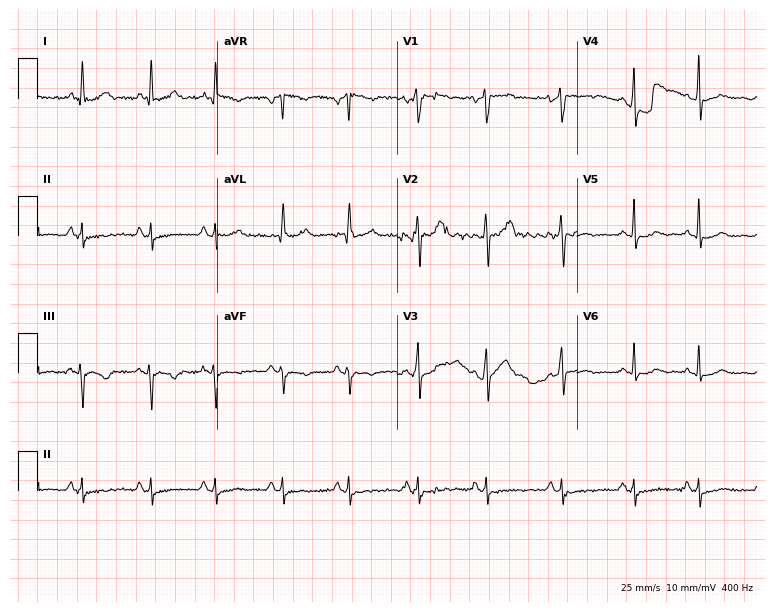
12-lead ECG (7.3-second recording at 400 Hz) from a male patient, 48 years old. Screened for six findings — first-degree AV block, right bundle branch block (RBBB), left bundle branch block (LBBB), sinus bradycardia, atrial fibrillation (AF), sinus tachycardia — none is recorded. Other findings, if any, are not listed.